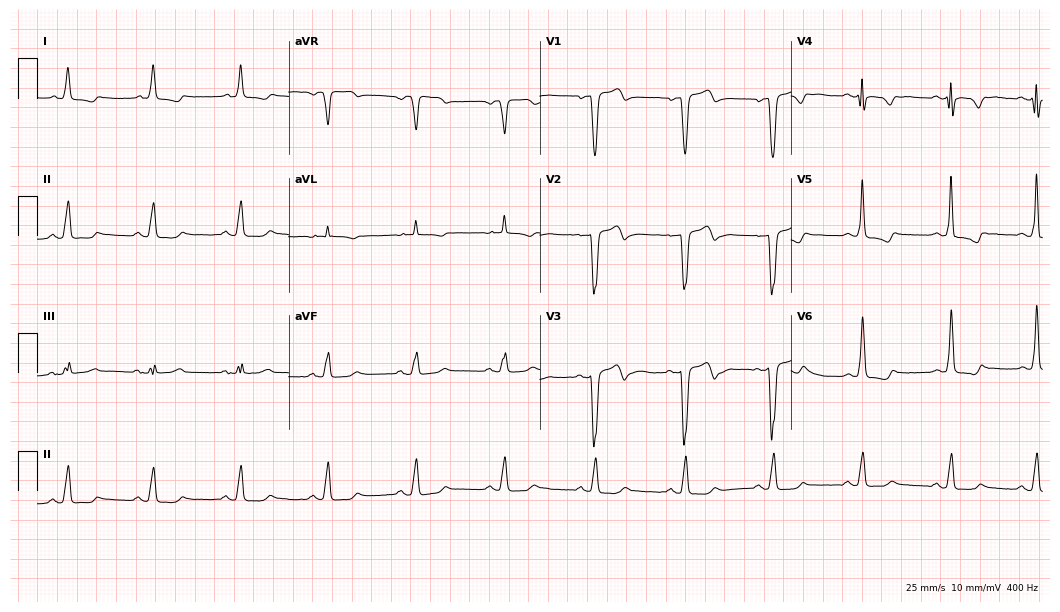
Electrocardiogram (10.2-second recording at 400 Hz), a man, 65 years old. Of the six screened findings (first-degree AV block, right bundle branch block, left bundle branch block, sinus bradycardia, atrial fibrillation, sinus tachycardia), none is recorded.